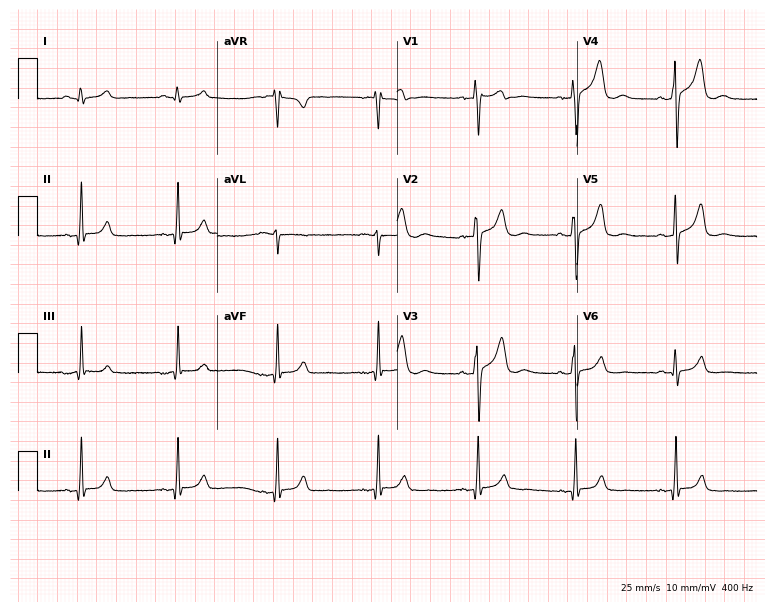
ECG — a male patient, 30 years old. Screened for six findings — first-degree AV block, right bundle branch block (RBBB), left bundle branch block (LBBB), sinus bradycardia, atrial fibrillation (AF), sinus tachycardia — none is recorded. Other findings, if any, are not listed.